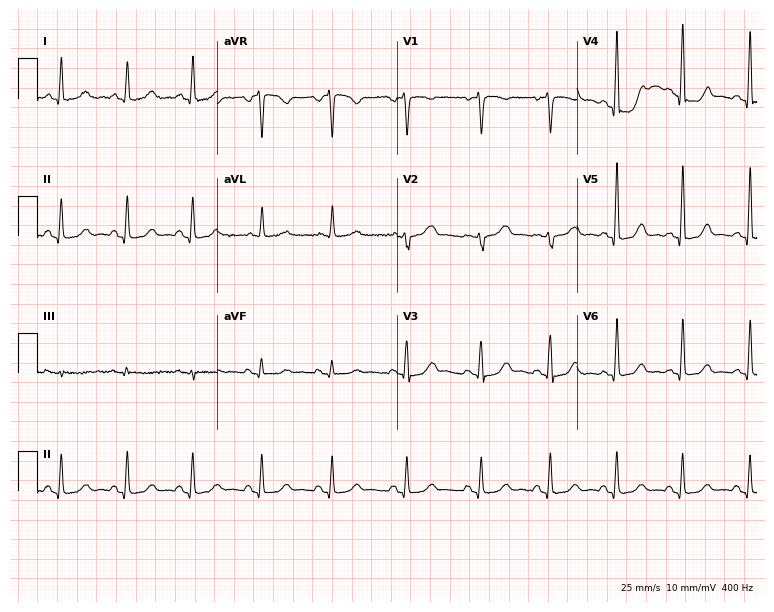
ECG (7.3-second recording at 400 Hz) — a female, 73 years old. Labelled as a normal ECG.